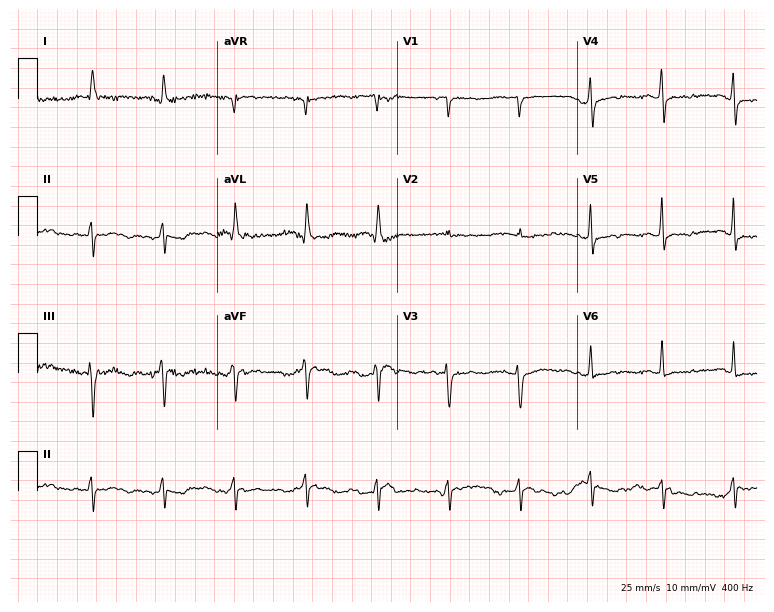
ECG (7.3-second recording at 400 Hz) — a female patient, 65 years old. Screened for six findings — first-degree AV block, right bundle branch block, left bundle branch block, sinus bradycardia, atrial fibrillation, sinus tachycardia — none is recorded.